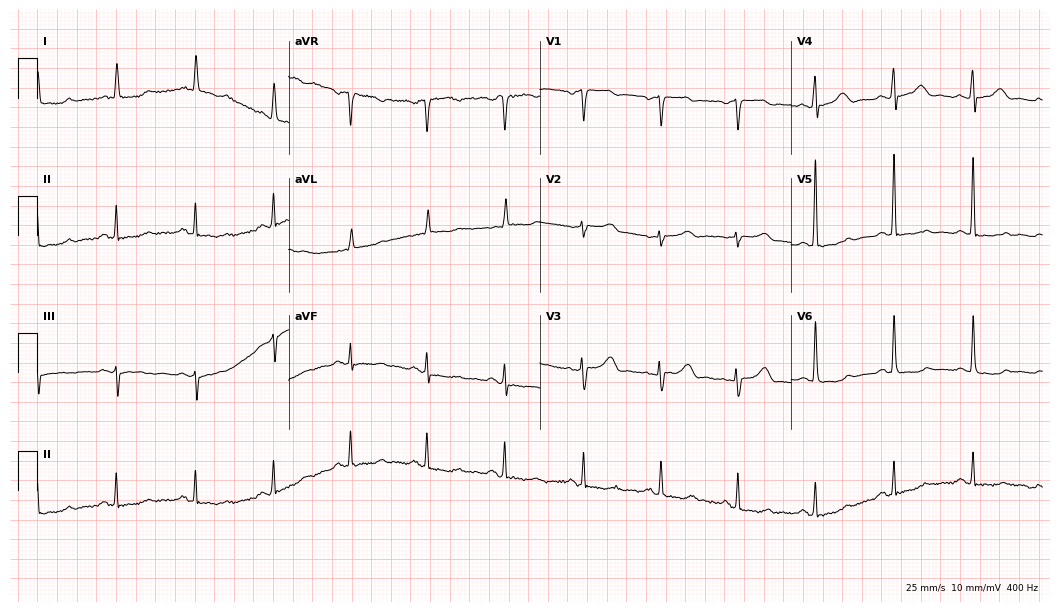
Resting 12-lead electrocardiogram. Patient: a female, 73 years old. Read as a normal ECG.